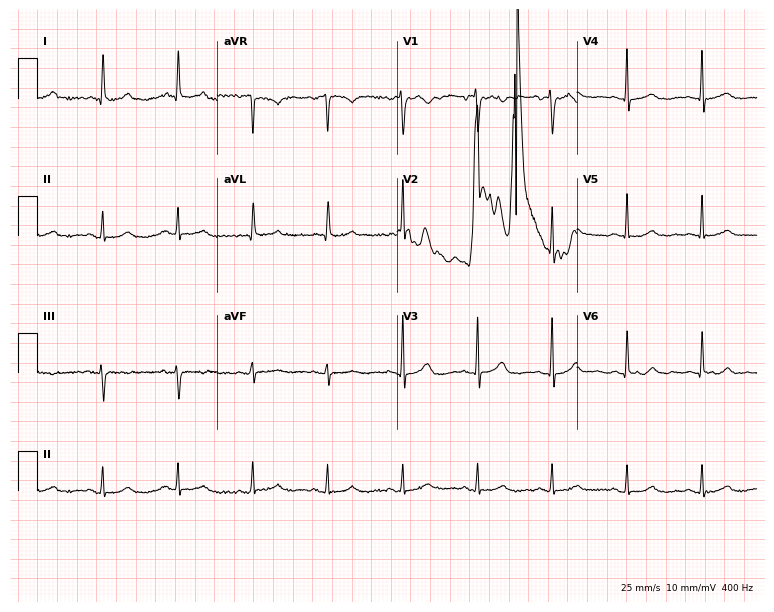
ECG — a 77-year-old female. Screened for six findings — first-degree AV block, right bundle branch block, left bundle branch block, sinus bradycardia, atrial fibrillation, sinus tachycardia — none is recorded.